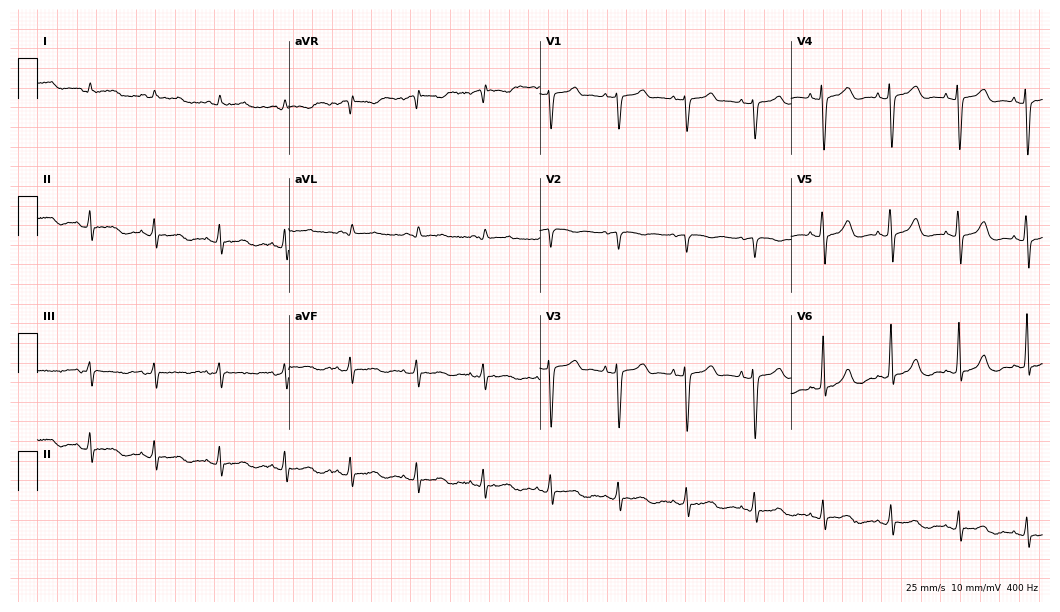
Electrocardiogram (10.2-second recording at 400 Hz), a woman, 61 years old. Overall reading on record: normal ECG.